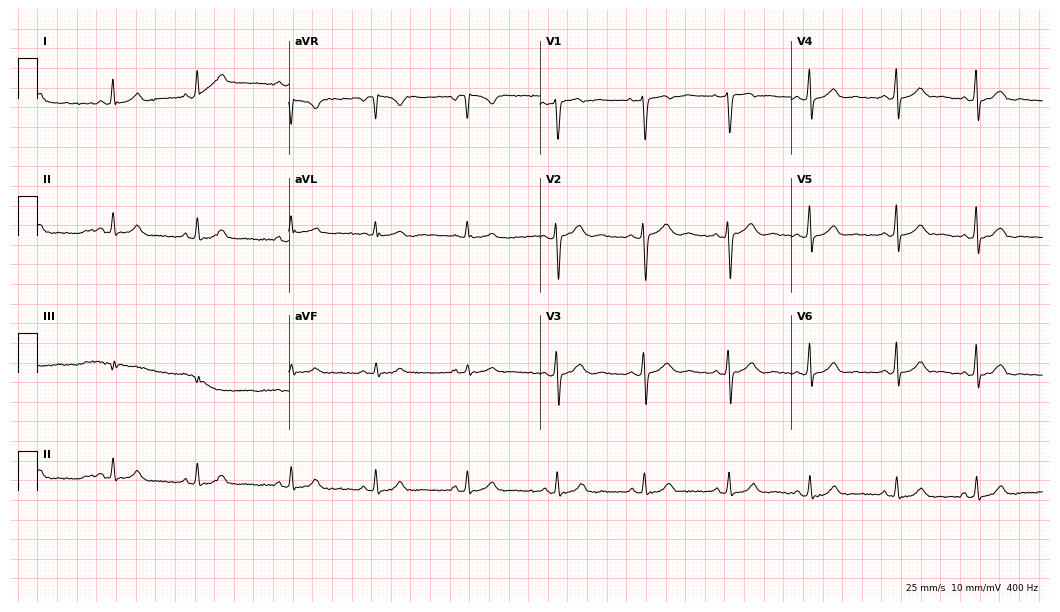
12-lead ECG (10.2-second recording at 400 Hz) from a woman, 27 years old. Labelled as a normal ECG.